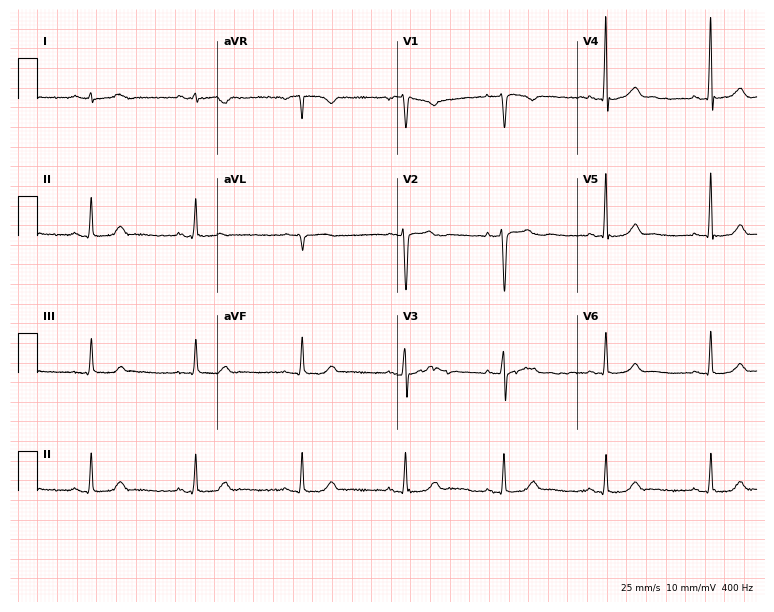
Standard 12-lead ECG recorded from a woman, 46 years old (7.3-second recording at 400 Hz). Read as a normal ECG.